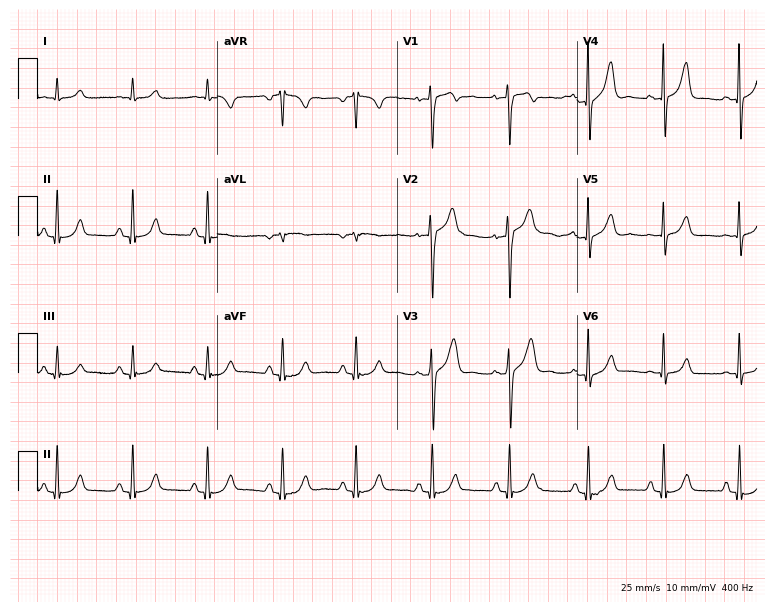
12-lead ECG (7.3-second recording at 400 Hz) from a 58-year-old man. Screened for six findings — first-degree AV block, right bundle branch block, left bundle branch block, sinus bradycardia, atrial fibrillation, sinus tachycardia — none is recorded.